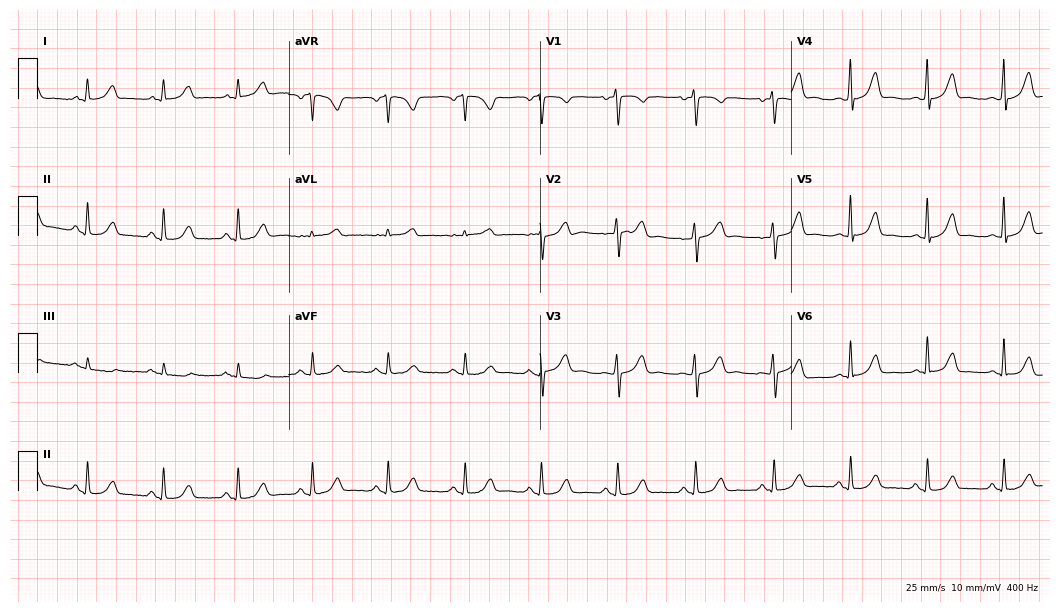
Electrocardiogram, a female, 46 years old. Overall reading on record: normal ECG.